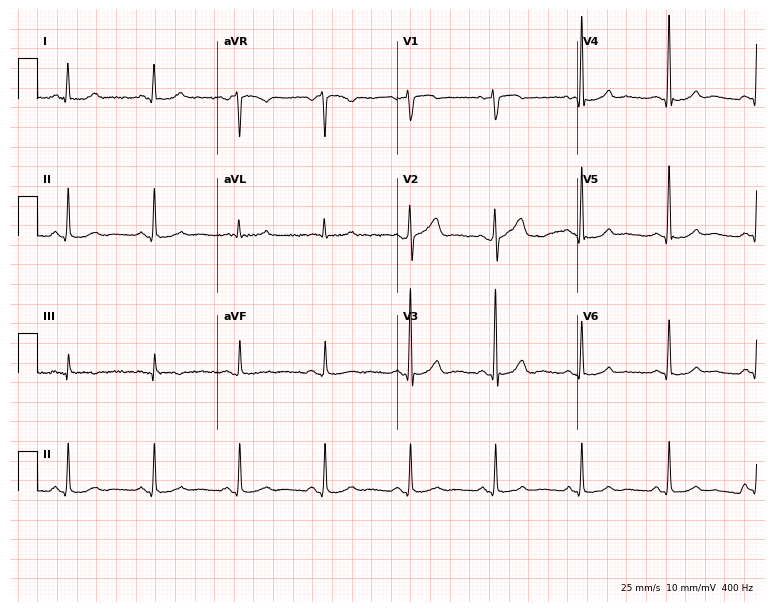
12-lead ECG (7.3-second recording at 400 Hz) from a man, 53 years old. Labelled as a normal ECG.